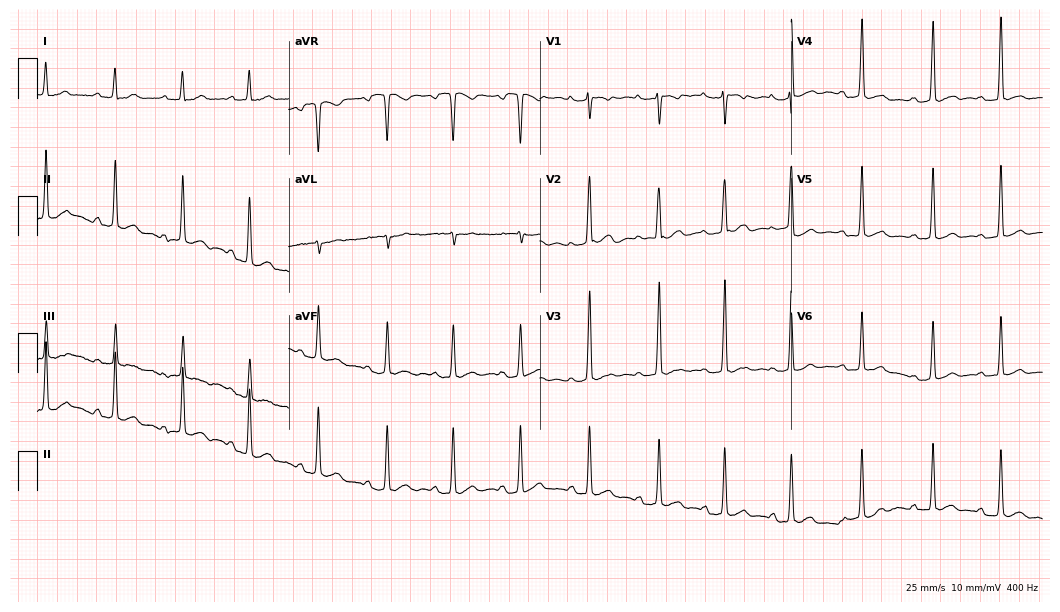
12-lead ECG from a female, 18 years old. Labelled as a normal ECG.